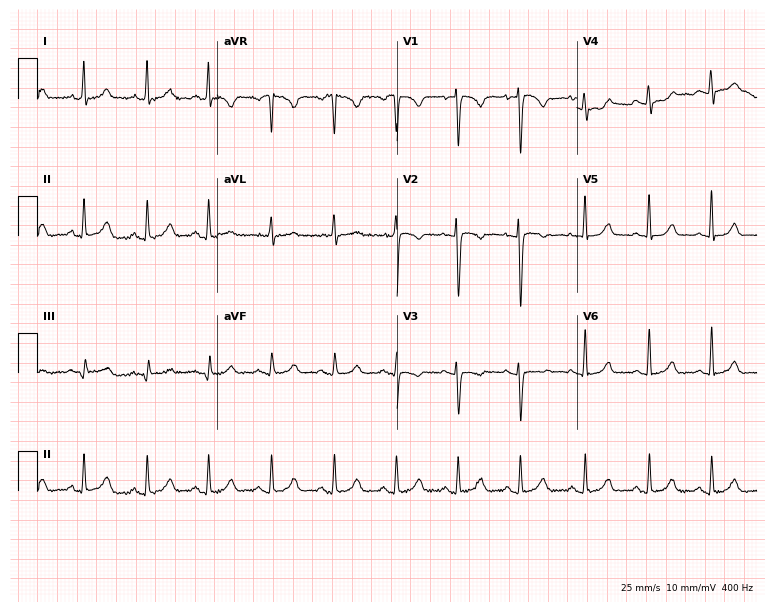
Electrocardiogram (7.3-second recording at 400 Hz), a female, 28 years old. Overall reading on record: normal ECG.